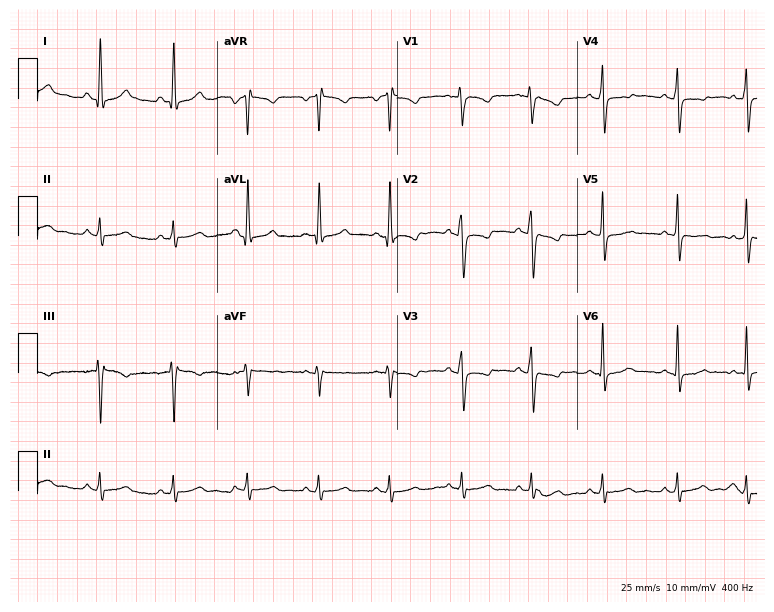
12-lead ECG from a 34-year-old woman (7.3-second recording at 400 Hz). No first-degree AV block, right bundle branch block, left bundle branch block, sinus bradycardia, atrial fibrillation or sinus tachycardia recorded for this tracing.